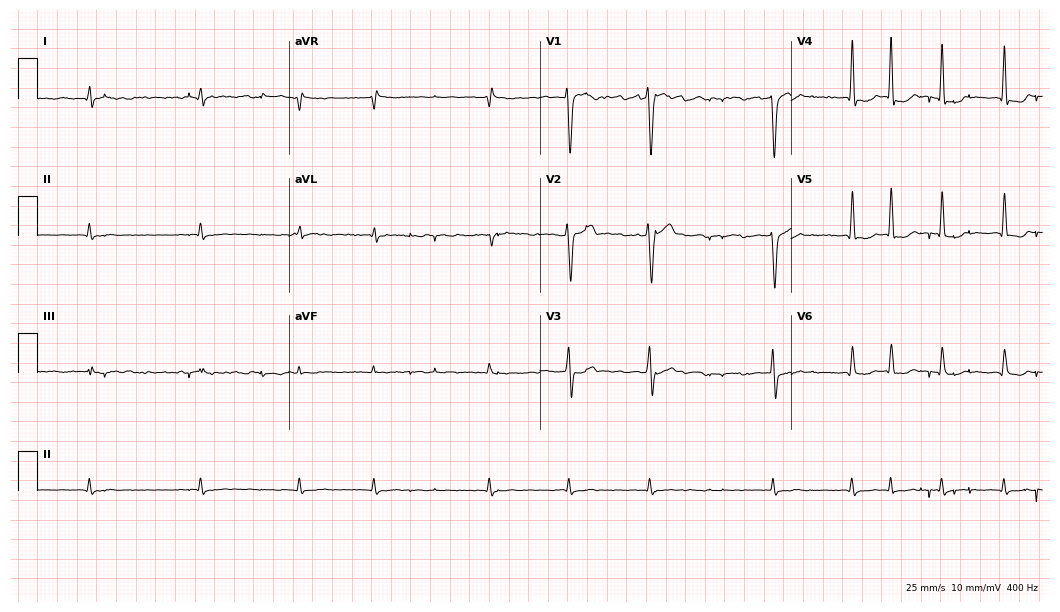
12-lead ECG (10.2-second recording at 400 Hz) from a female patient, 68 years old. Findings include atrial fibrillation.